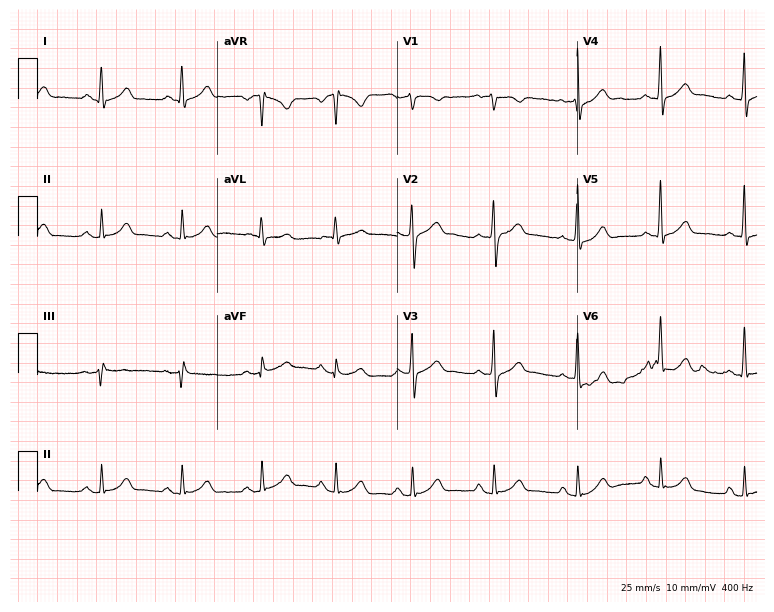
12-lead ECG from a 47-year-old male. Recorded interpretation: within normal limits.